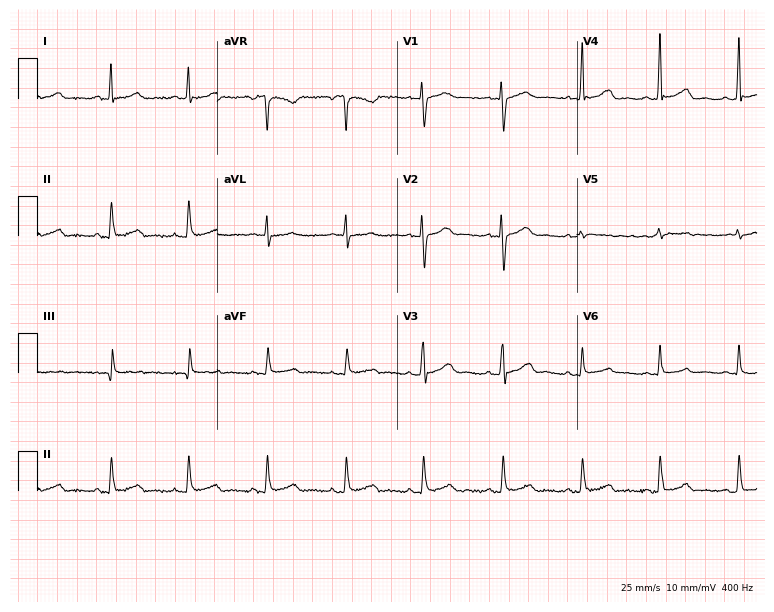
Electrocardiogram, a female patient, 35 years old. Overall reading on record: normal ECG.